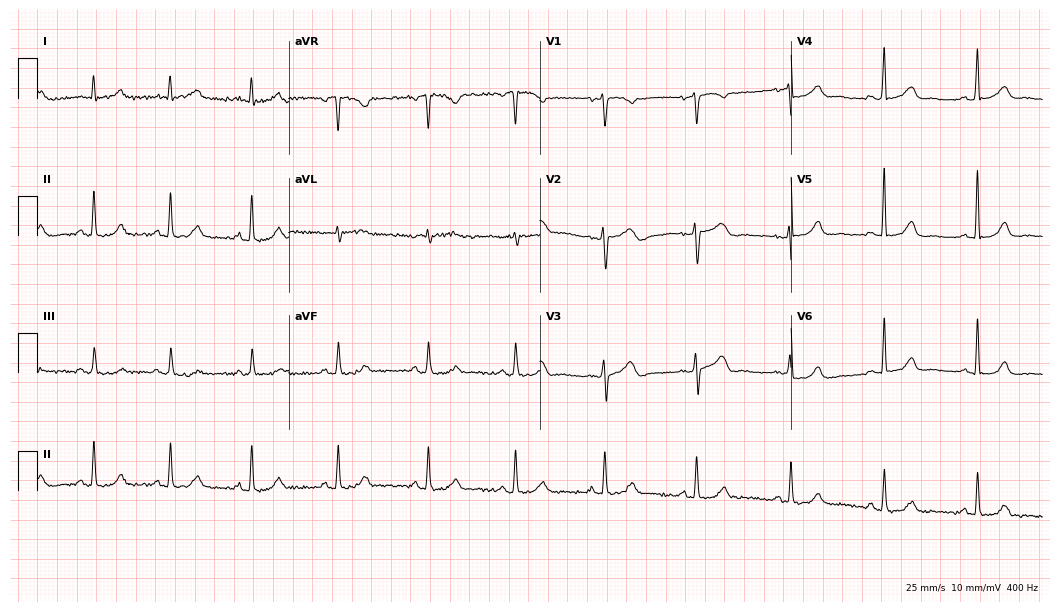
12-lead ECG from a 43-year-old female patient. Labelled as a normal ECG.